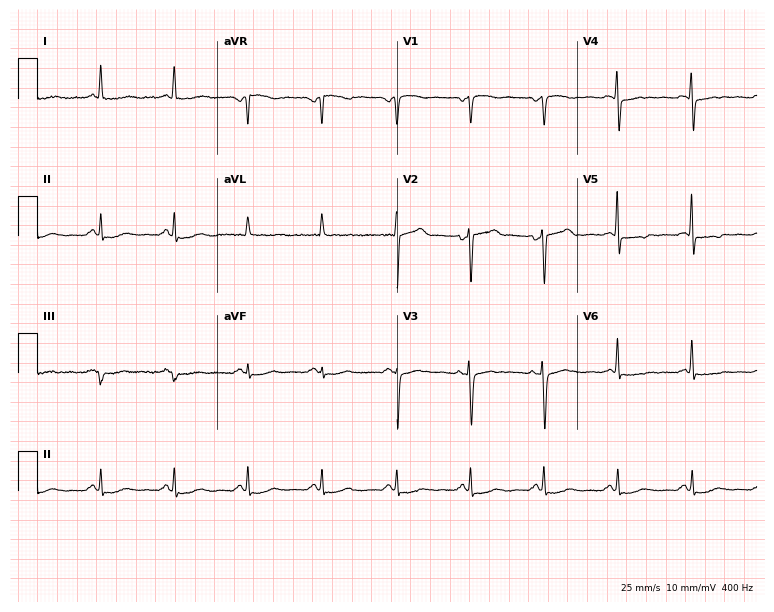
12-lead ECG from a 60-year-old woman. No first-degree AV block, right bundle branch block, left bundle branch block, sinus bradycardia, atrial fibrillation or sinus tachycardia recorded for this tracing. Other findings, if any, are not listed.